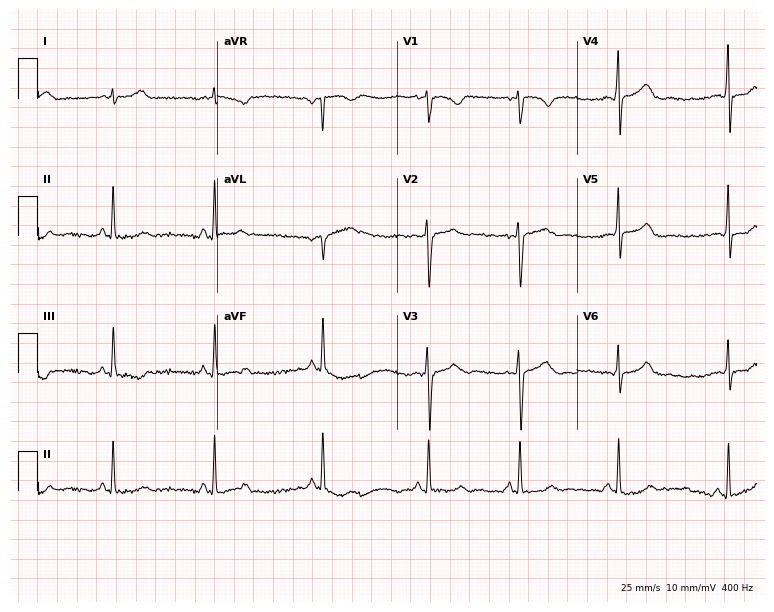
ECG (7.3-second recording at 400 Hz) — a 29-year-old woman. Labelled as a normal ECG.